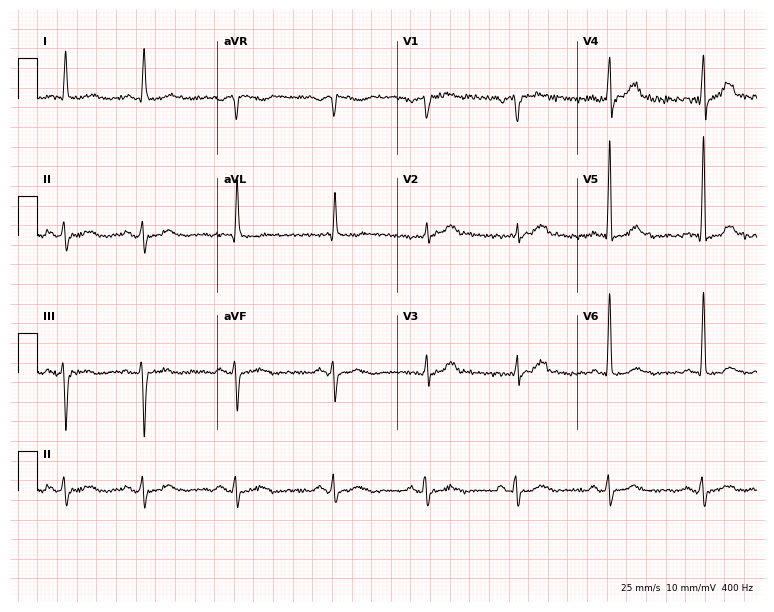
Standard 12-lead ECG recorded from a man, 78 years old (7.3-second recording at 400 Hz). Read as a normal ECG.